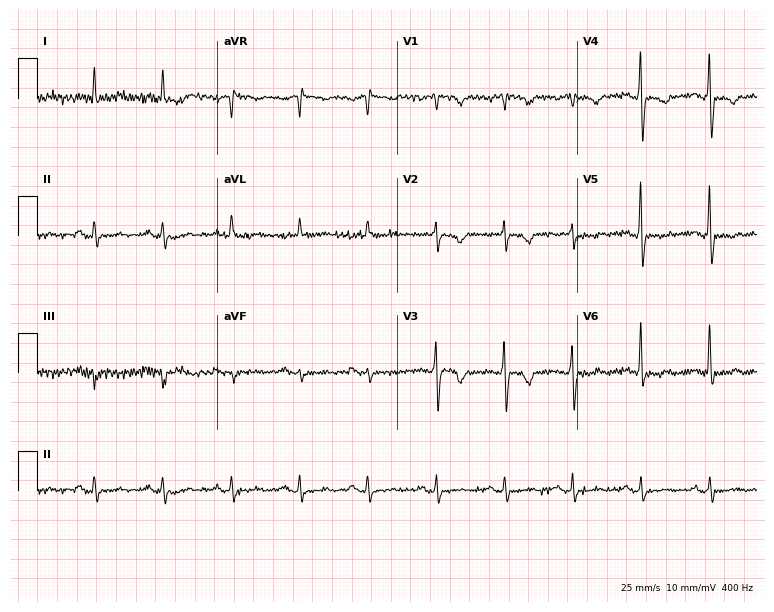
Electrocardiogram, a 76-year-old female. Of the six screened findings (first-degree AV block, right bundle branch block (RBBB), left bundle branch block (LBBB), sinus bradycardia, atrial fibrillation (AF), sinus tachycardia), none is recorded.